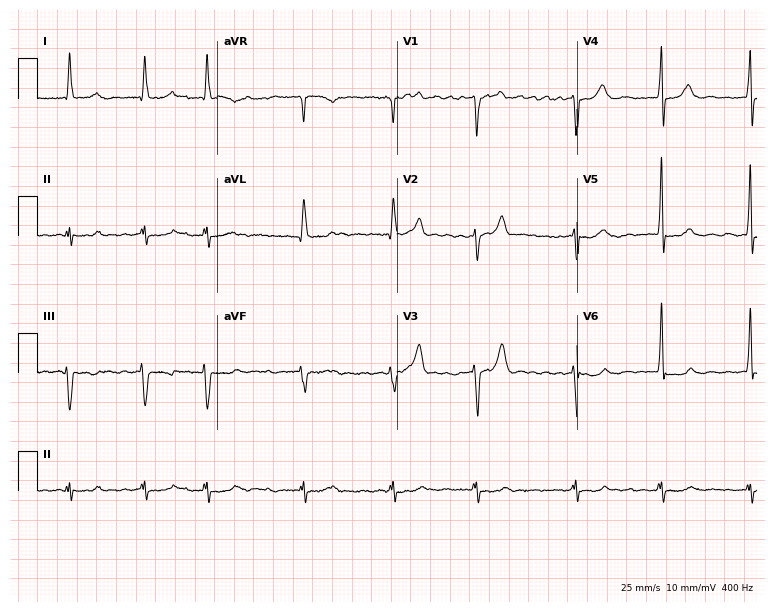
12-lead ECG from a 79-year-old male. Findings include atrial fibrillation.